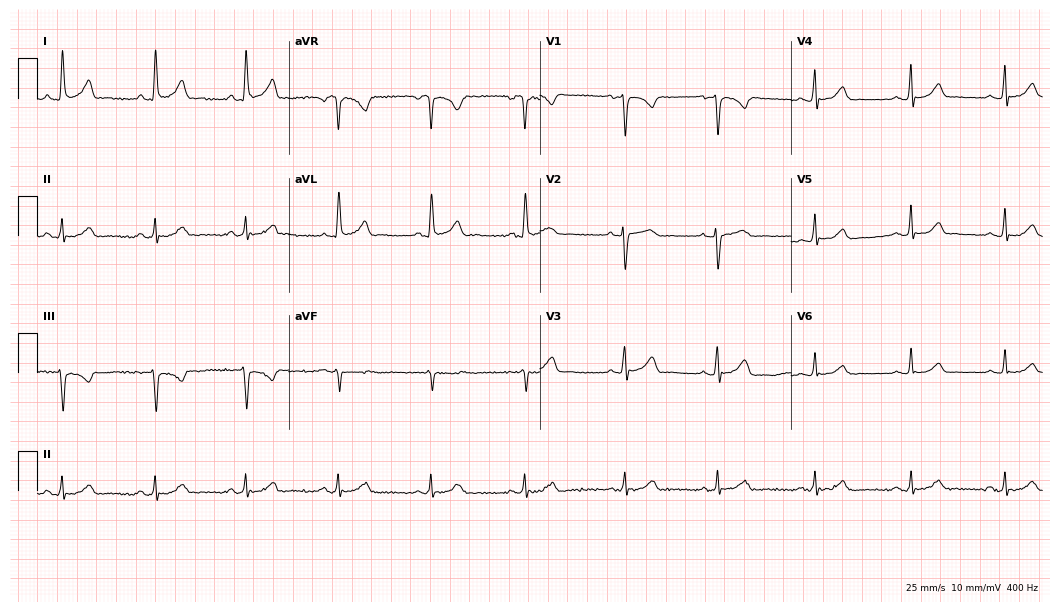
Standard 12-lead ECG recorded from a 58-year-old female patient. Read as a normal ECG.